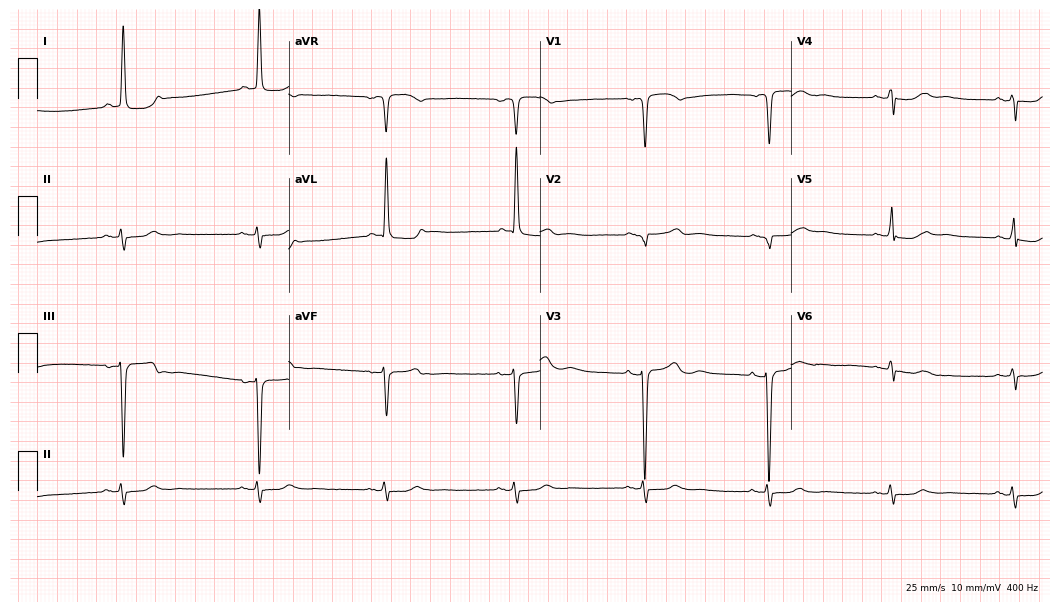
Standard 12-lead ECG recorded from a 62-year-old woman. The tracing shows sinus bradycardia (a sinus rate of 50 beats per minute or less).